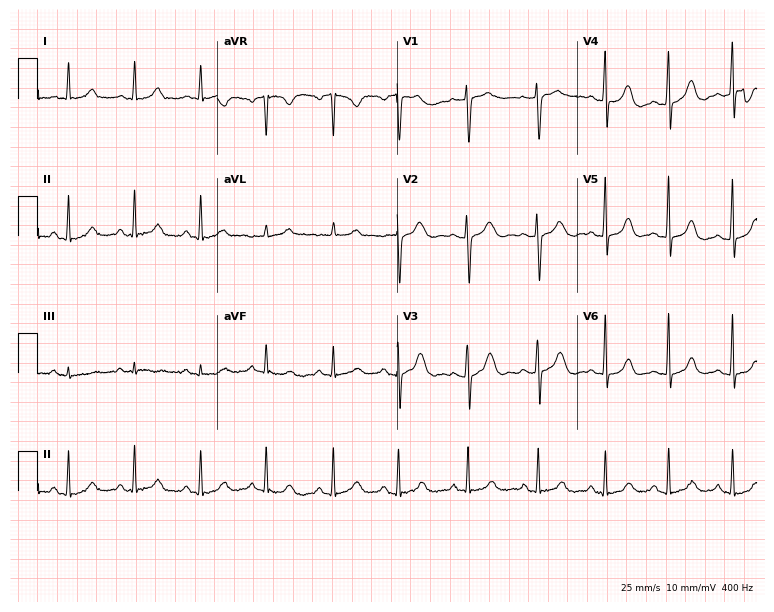
ECG (7.3-second recording at 400 Hz) — a 39-year-old woman. Labelled as a normal ECG.